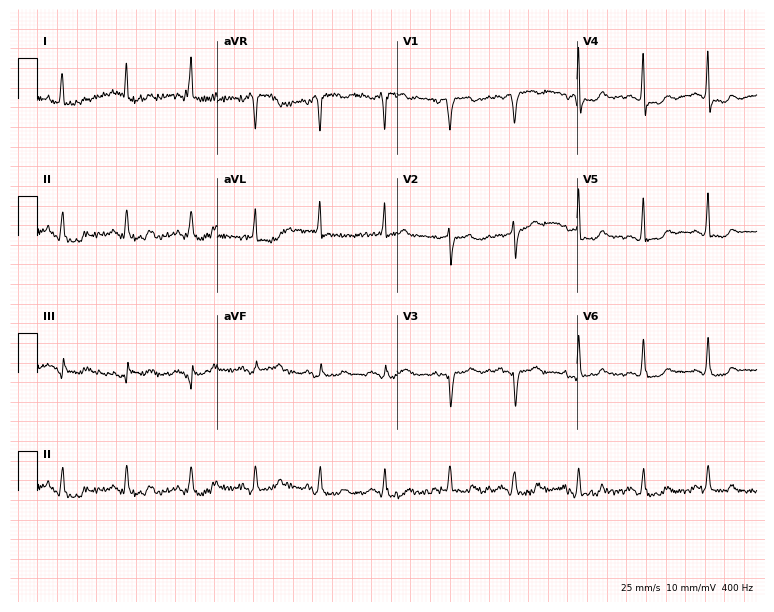
Electrocardiogram (7.3-second recording at 400 Hz), a woman, 76 years old. Of the six screened findings (first-degree AV block, right bundle branch block, left bundle branch block, sinus bradycardia, atrial fibrillation, sinus tachycardia), none is recorded. Only these six findings were labelled.